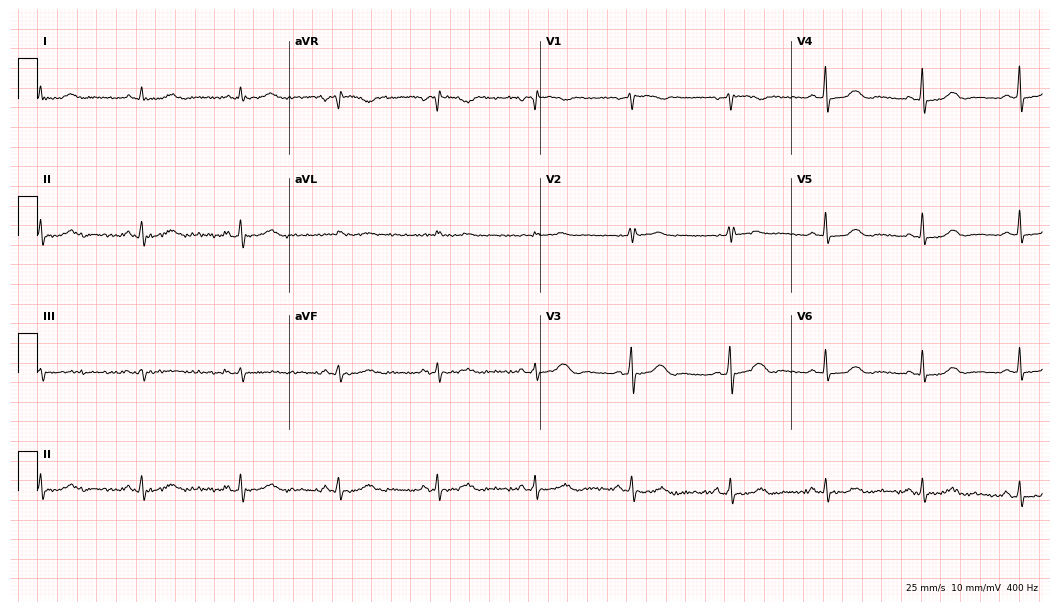
Electrocardiogram, a 55-year-old woman. Overall reading on record: normal ECG.